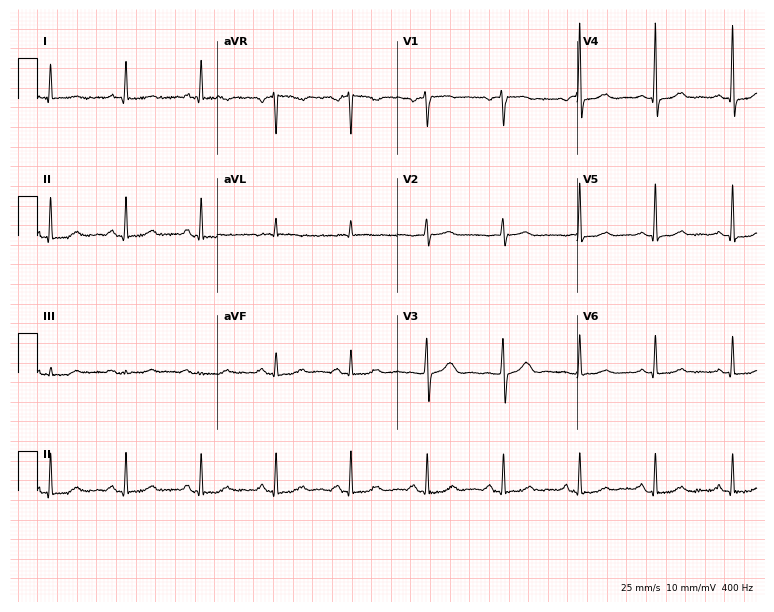
Electrocardiogram (7.3-second recording at 400 Hz), a 65-year-old woman. Overall reading on record: normal ECG.